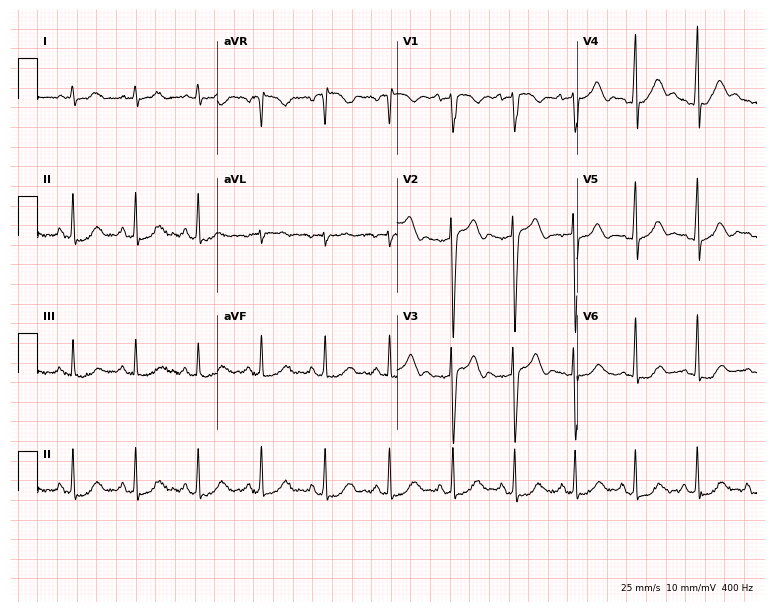
Electrocardiogram (7.3-second recording at 400 Hz), a man, 33 years old. Of the six screened findings (first-degree AV block, right bundle branch block, left bundle branch block, sinus bradycardia, atrial fibrillation, sinus tachycardia), none is recorded.